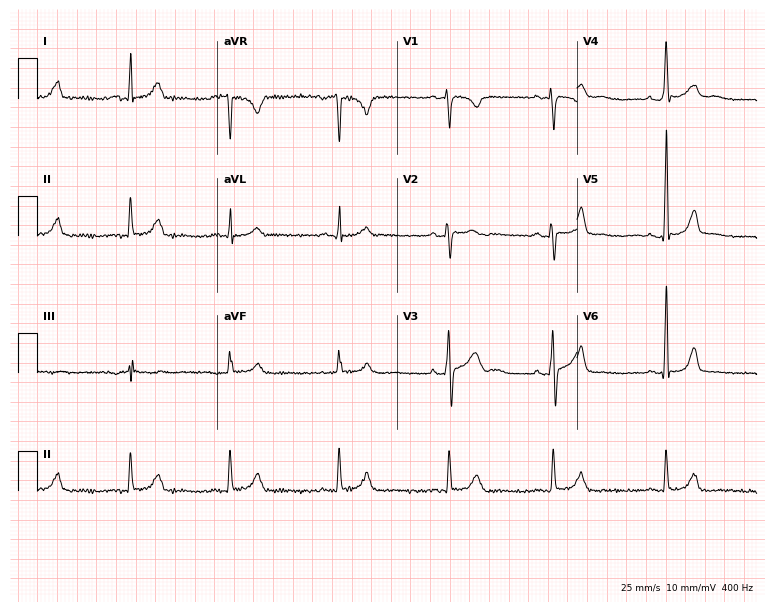
Standard 12-lead ECG recorded from a man, 49 years old. Read as a normal ECG.